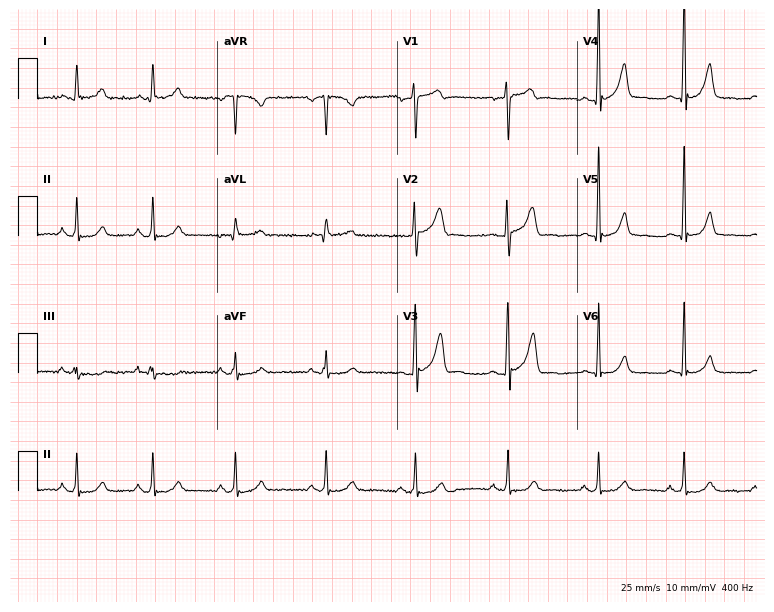
12-lead ECG from a 40-year-old male (7.3-second recording at 400 Hz). Recorded interpretation: within normal limits.